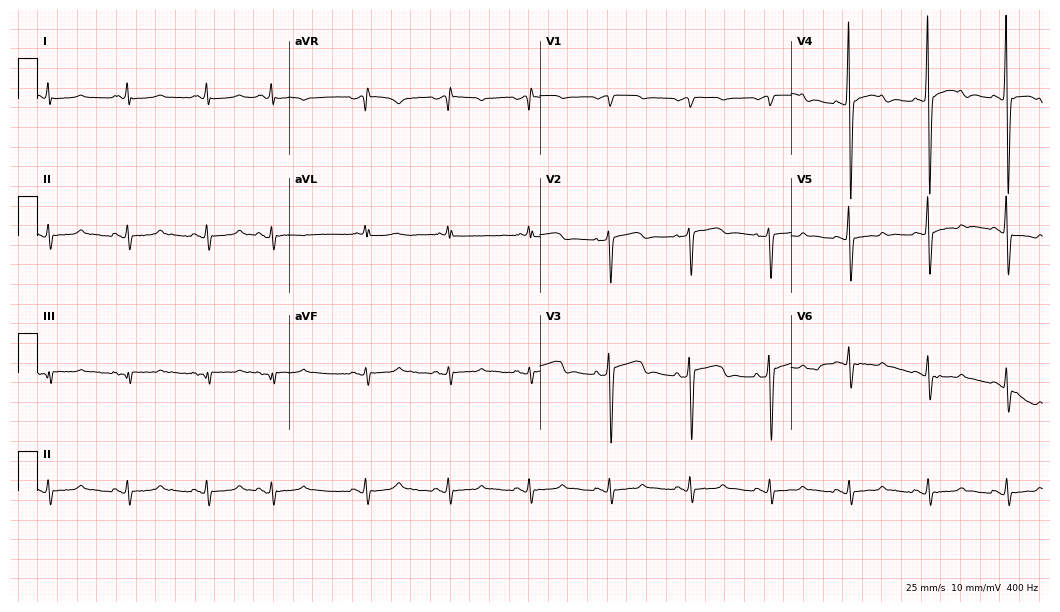
12-lead ECG from a female patient, 84 years old. No first-degree AV block, right bundle branch block, left bundle branch block, sinus bradycardia, atrial fibrillation or sinus tachycardia recorded for this tracing. Only these six findings were labelled.